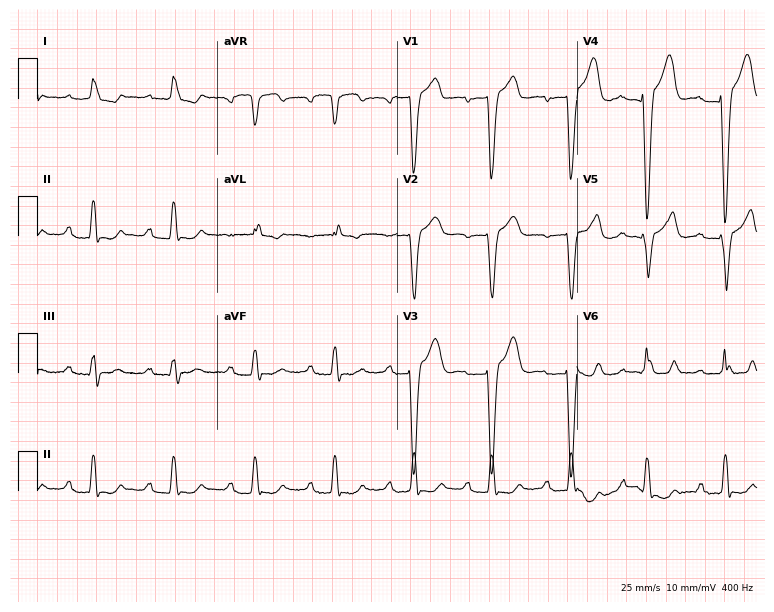
12-lead ECG from a man, 76 years old. Findings include first-degree AV block, left bundle branch block.